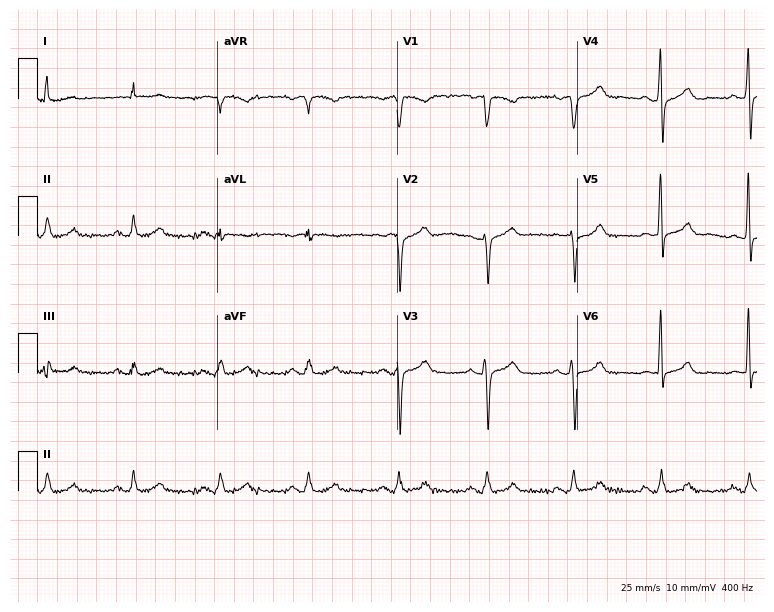
12-lead ECG from a male patient, 54 years old. Labelled as a normal ECG.